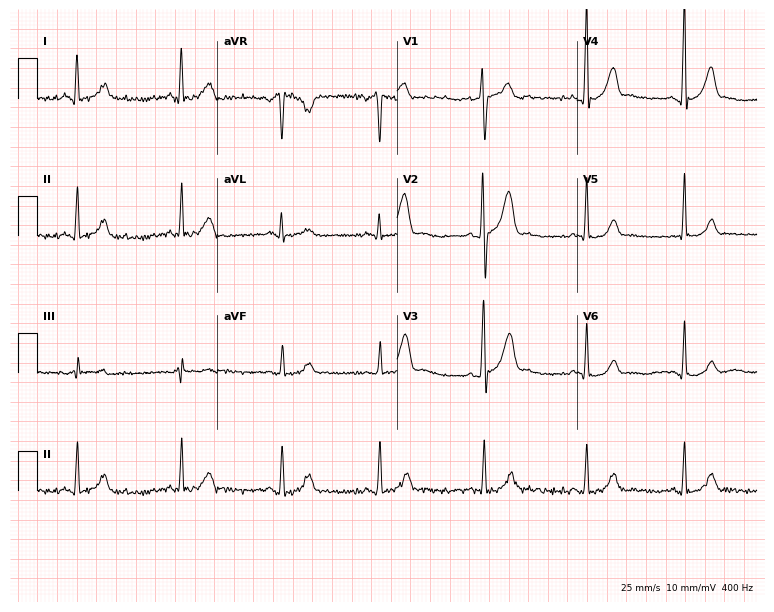
12-lead ECG from a 26-year-old man (7.3-second recording at 400 Hz). Recorded interpretation: within normal limits.